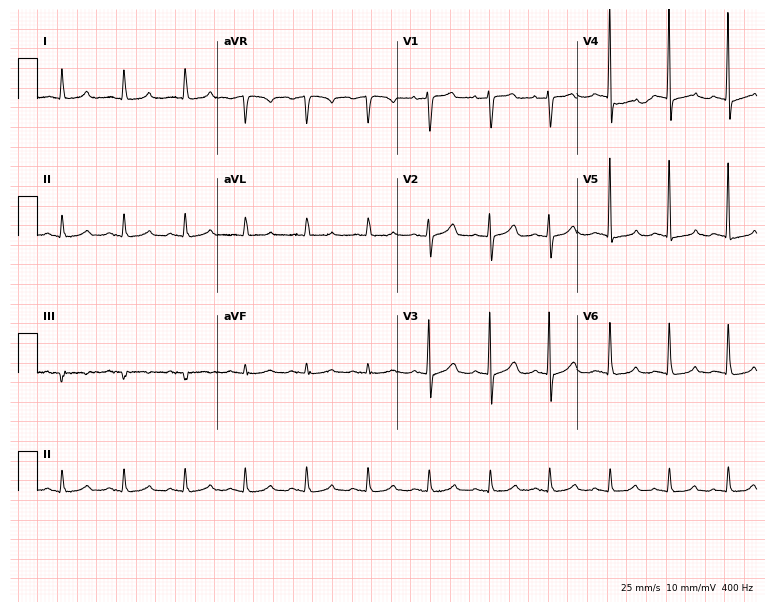
ECG (7.3-second recording at 400 Hz) — a 62-year-old woman. Labelled as a normal ECG.